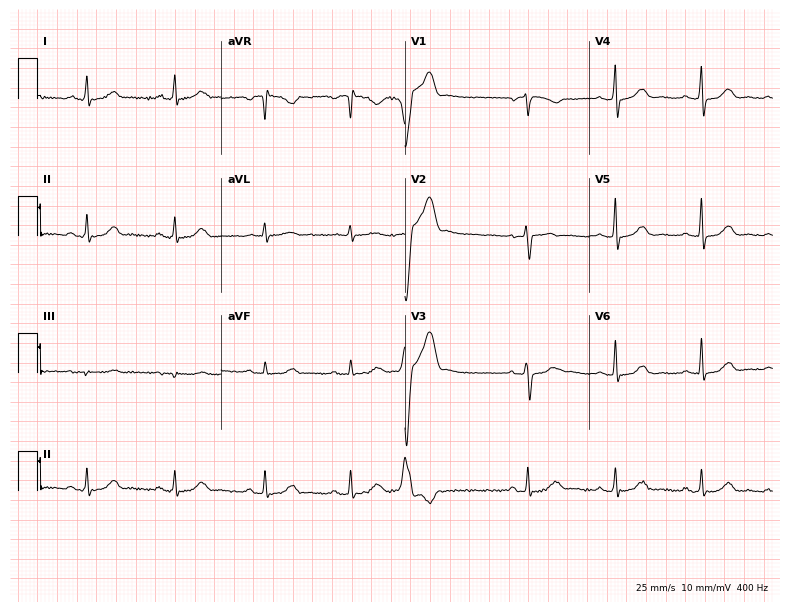
Electrocardiogram (7.5-second recording at 400 Hz), a female, 54 years old. Of the six screened findings (first-degree AV block, right bundle branch block, left bundle branch block, sinus bradycardia, atrial fibrillation, sinus tachycardia), none is recorded. Findings outside these six are not listed.